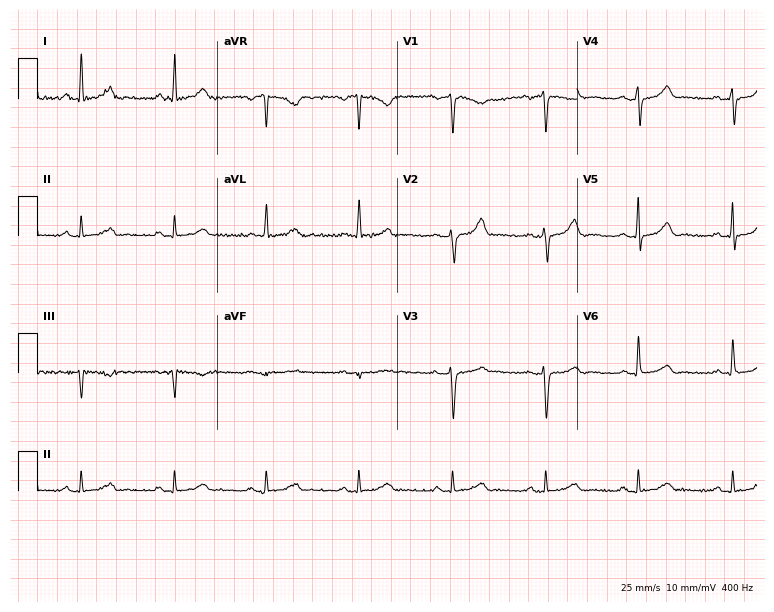
Standard 12-lead ECG recorded from a woman, 61 years old. Read as a normal ECG.